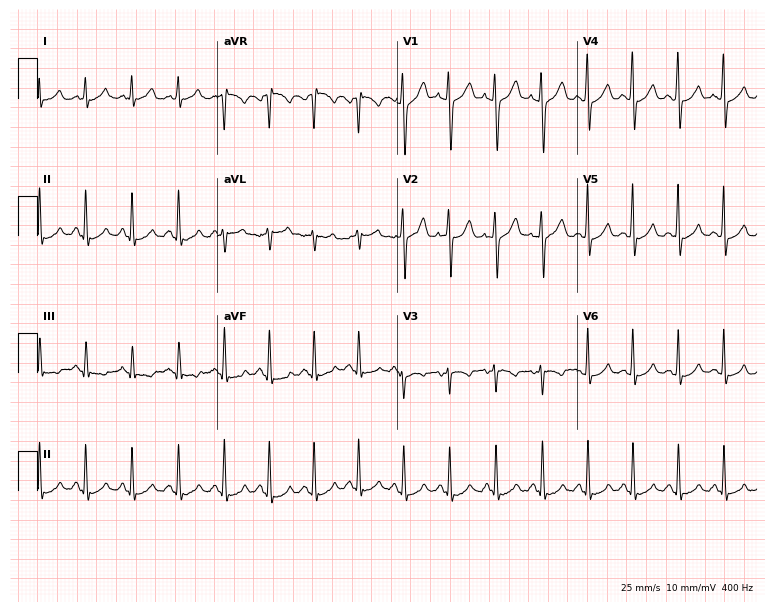
12-lead ECG from a 28-year-old female (7.3-second recording at 400 Hz). Shows sinus tachycardia (a sinus rate of 100 beats per minute or more).